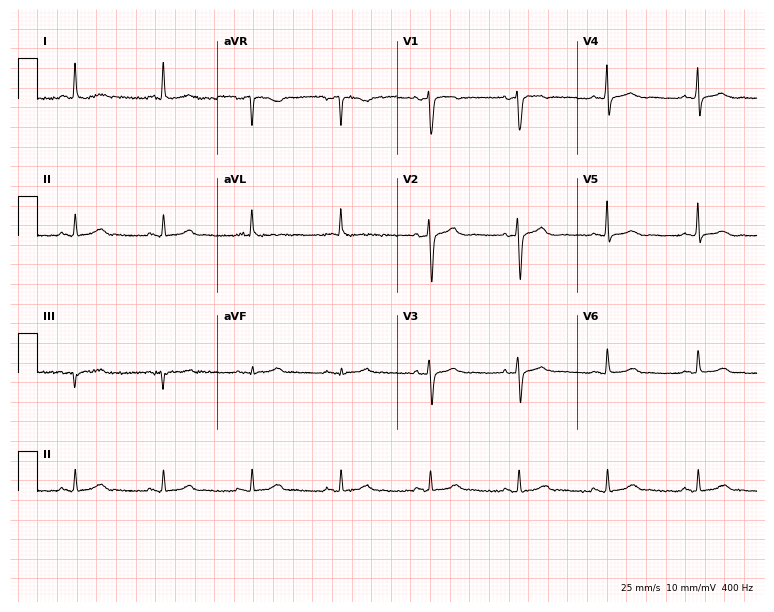
Resting 12-lead electrocardiogram (7.3-second recording at 400 Hz). Patient: a female, 81 years old. Read as a normal ECG.